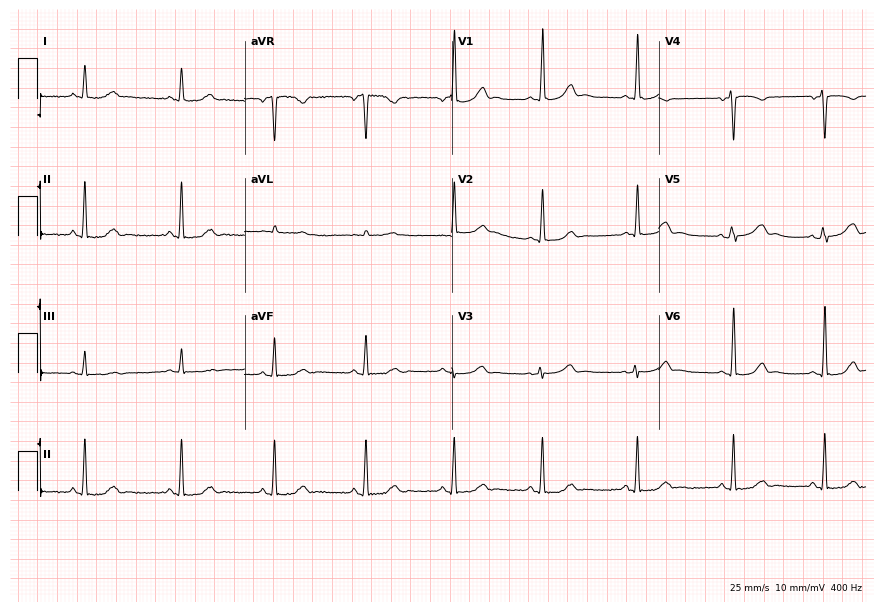
Resting 12-lead electrocardiogram. Patient: a 21-year-old female. None of these six findings is recorded: first-degree AV block, right bundle branch block, left bundle branch block, sinus bradycardia, atrial fibrillation, sinus tachycardia.